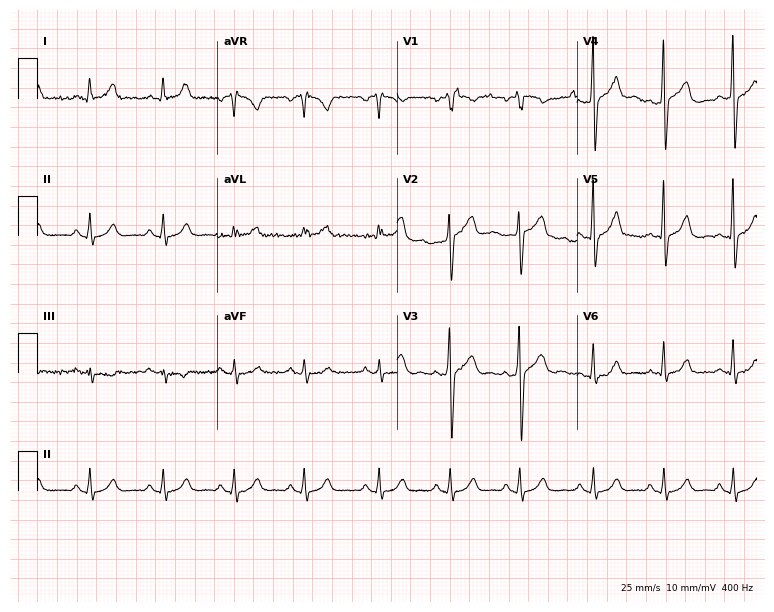
Electrocardiogram, a 54-year-old male. Of the six screened findings (first-degree AV block, right bundle branch block, left bundle branch block, sinus bradycardia, atrial fibrillation, sinus tachycardia), none is recorded. Findings outside these six are not listed.